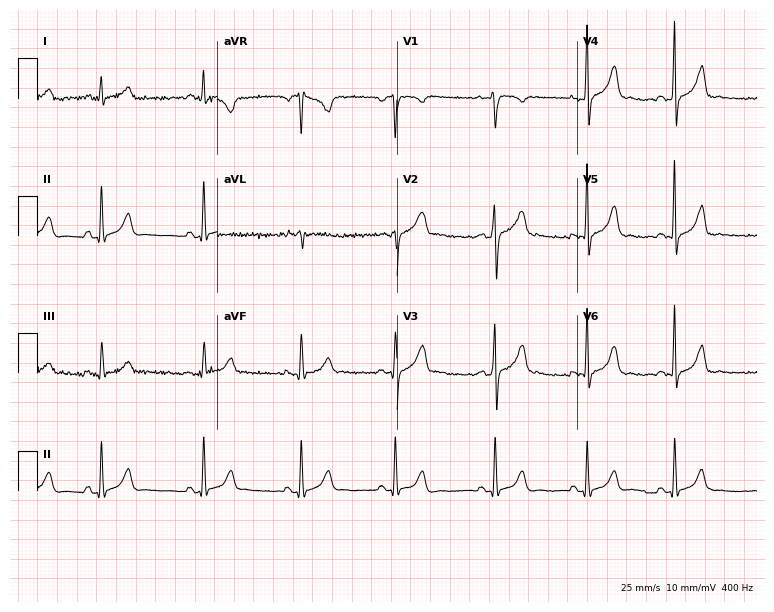
12-lead ECG (7.3-second recording at 400 Hz) from a female patient, 27 years old. Screened for six findings — first-degree AV block, right bundle branch block, left bundle branch block, sinus bradycardia, atrial fibrillation, sinus tachycardia — none is recorded. Findings outside these six are not listed.